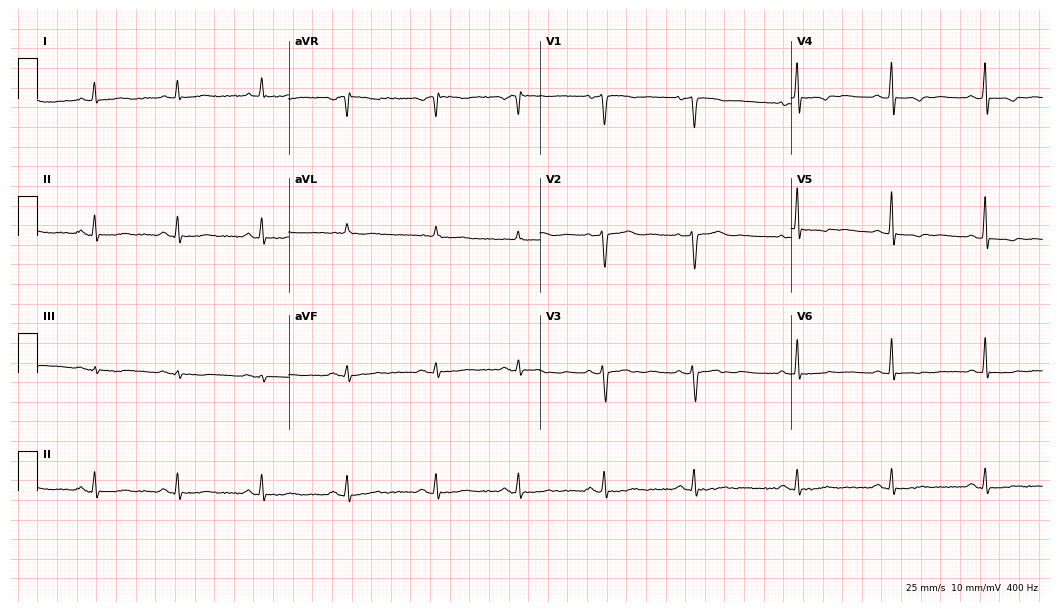
Standard 12-lead ECG recorded from a 59-year-old female patient. None of these six findings is recorded: first-degree AV block, right bundle branch block, left bundle branch block, sinus bradycardia, atrial fibrillation, sinus tachycardia. Only these six findings were labelled.